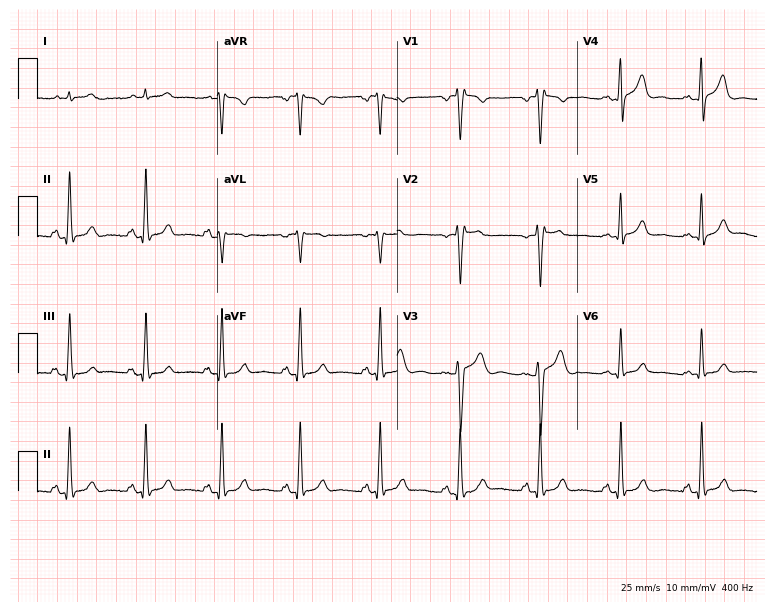
ECG (7.3-second recording at 400 Hz) — a 35-year-old male. Screened for six findings — first-degree AV block, right bundle branch block, left bundle branch block, sinus bradycardia, atrial fibrillation, sinus tachycardia — none is recorded.